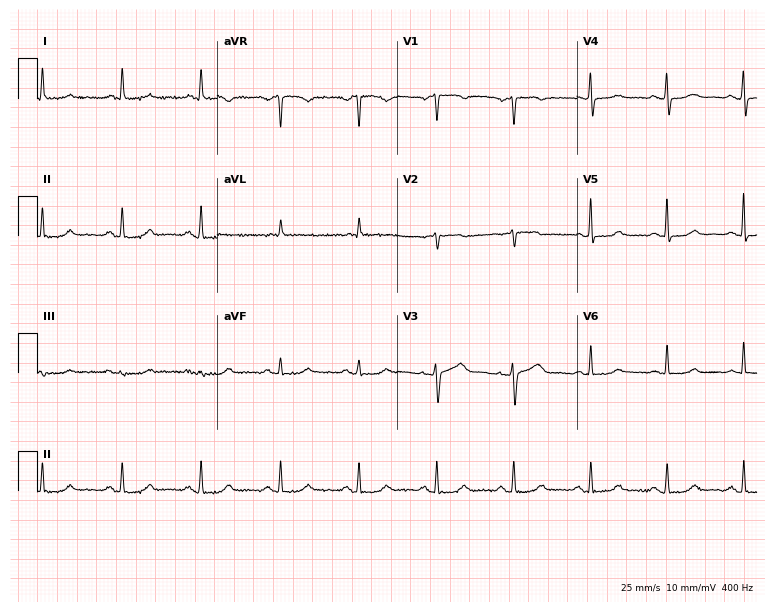
Electrocardiogram (7.3-second recording at 400 Hz), a woman, 73 years old. Overall reading on record: normal ECG.